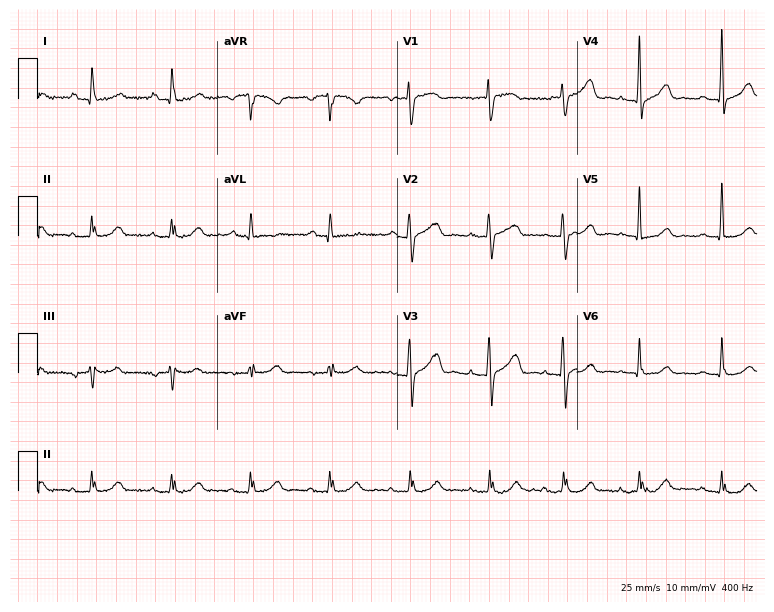
Resting 12-lead electrocardiogram (7.3-second recording at 400 Hz). Patient: a female, 88 years old. Read as a normal ECG.